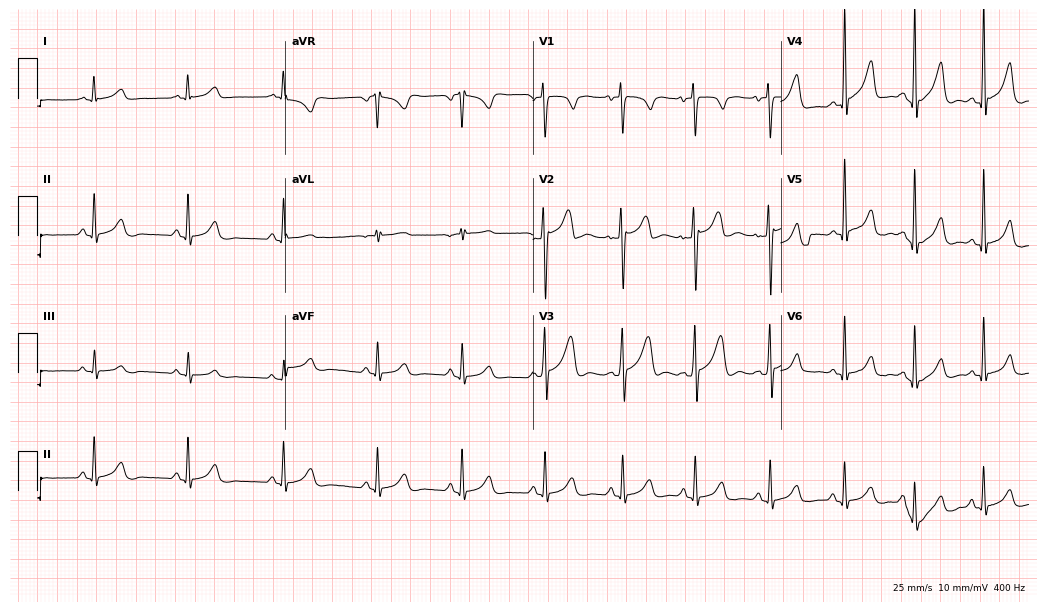
Resting 12-lead electrocardiogram. Patient: a 25-year-old male. Read as a normal ECG.